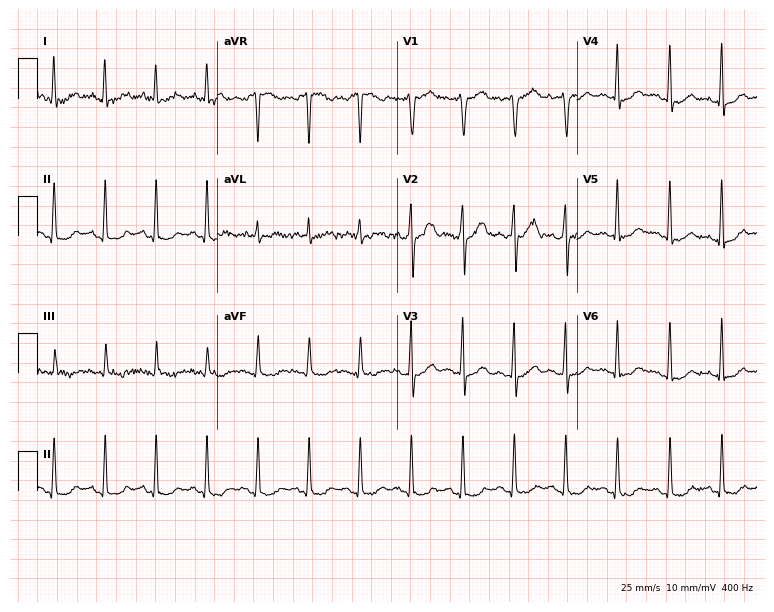
Electrocardiogram, a man, 36 years old. Interpretation includes sinus tachycardia (a sinus rate of 100 beats per minute or more).